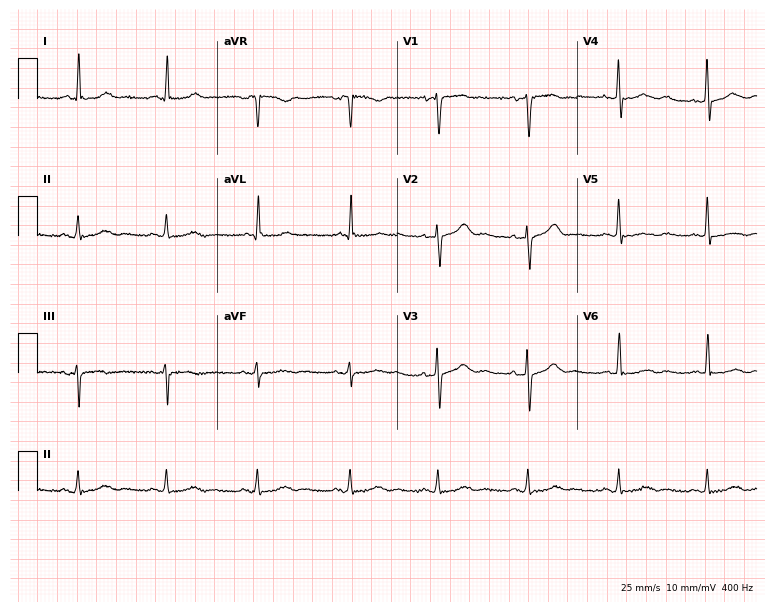
Electrocardiogram (7.3-second recording at 400 Hz), a 48-year-old female patient. Of the six screened findings (first-degree AV block, right bundle branch block, left bundle branch block, sinus bradycardia, atrial fibrillation, sinus tachycardia), none is recorded. Only these six findings were labelled.